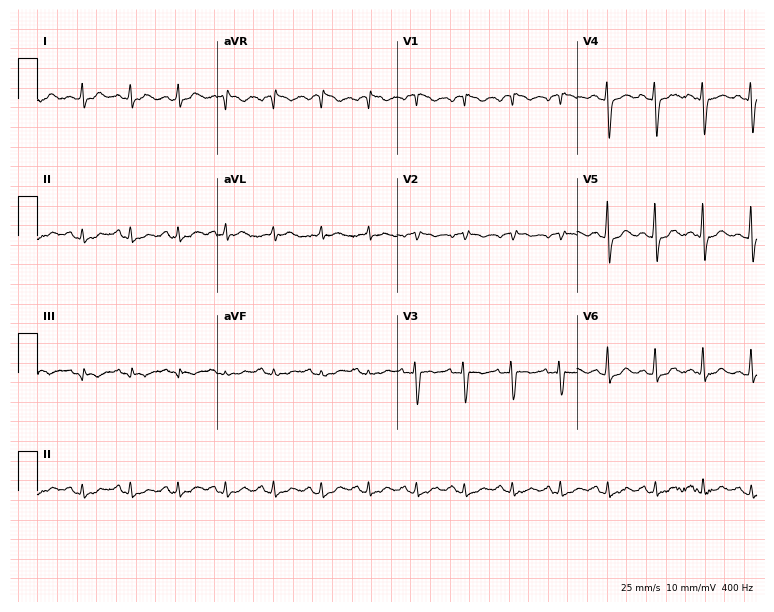
12-lead ECG from a female patient, 68 years old. No first-degree AV block, right bundle branch block (RBBB), left bundle branch block (LBBB), sinus bradycardia, atrial fibrillation (AF) or sinus tachycardia recorded for this tracing. Findings outside these six are not listed.